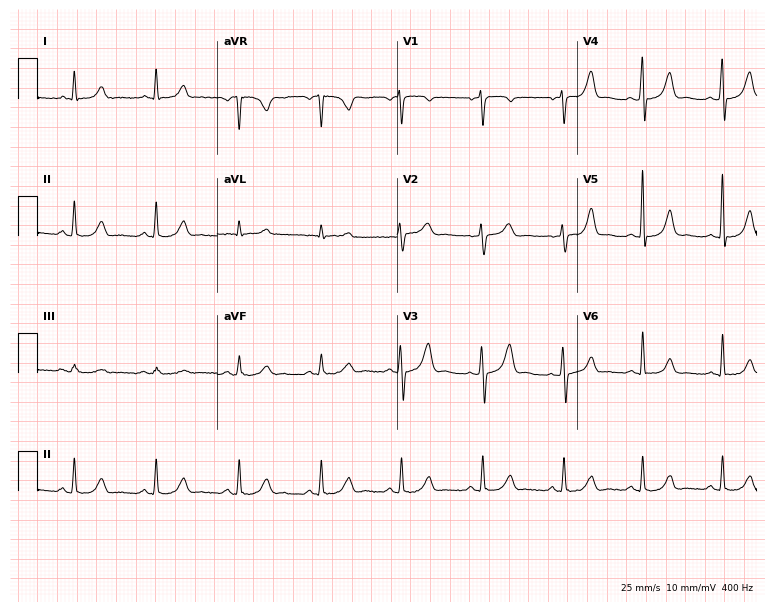
12-lead ECG from a 30-year-old female patient. No first-degree AV block, right bundle branch block (RBBB), left bundle branch block (LBBB), sinus bradycardia, atrial fibrillation (AF) or sinus tachycardia recorded for this tracing. Only these six findings were labelled.